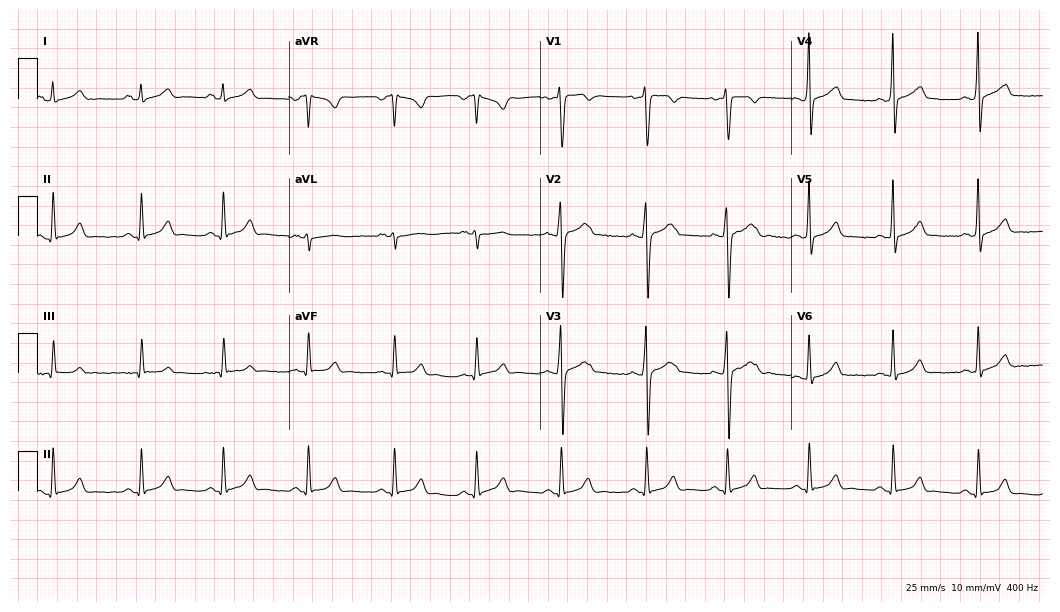
Standard 12-lead ECG recorded from a man, 17 years old. Read as a normal ECG.